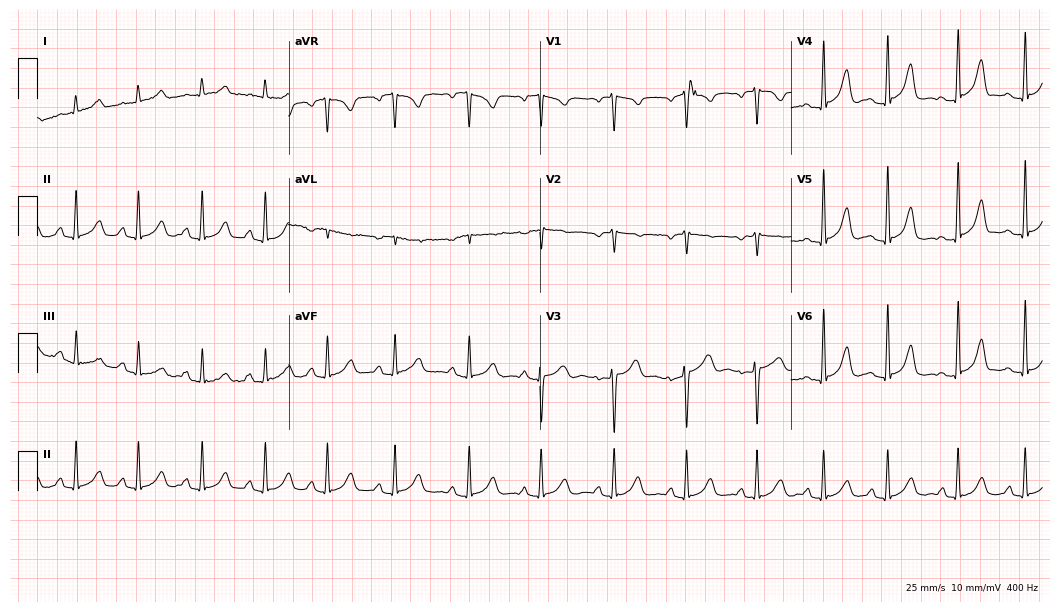
ECG (10.2-second recording at 400 Hz) — a woman, 43 years old. Screened for six findings — first-degree AV block, right bundle branch block (RBBB), left bundle branch block (LBBB), sinus bradycardia, atrial fibrillation (AF), sinus tachycardia — none is recorded. Findings outside these six are not listed.